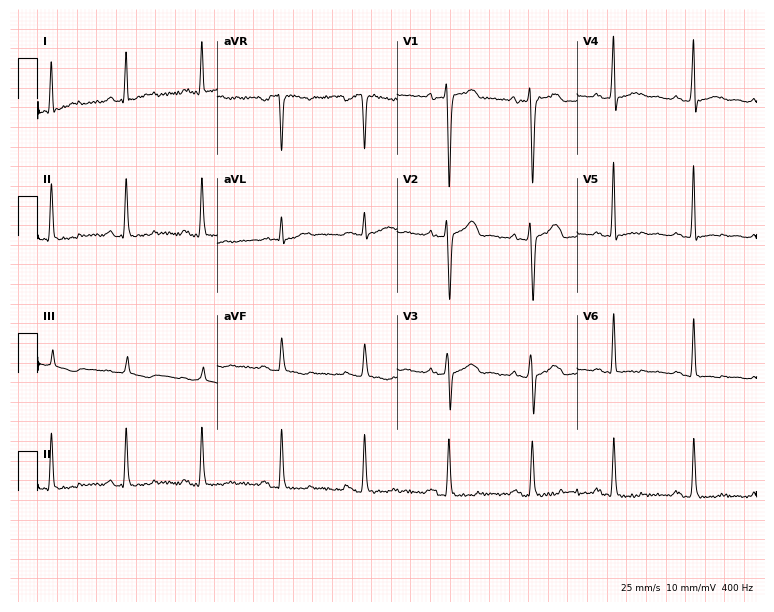
Electrocardiogram (7.3-second recording at 400 Hz), a 48-year-old male patient. Of the six screened findings (first-degree AV block, right bundle branch block, left bundle branch block, sinus bradycardia, atrial fibrillation, sinus tachycardia), none is recorded. Findings outside these six are not listed.